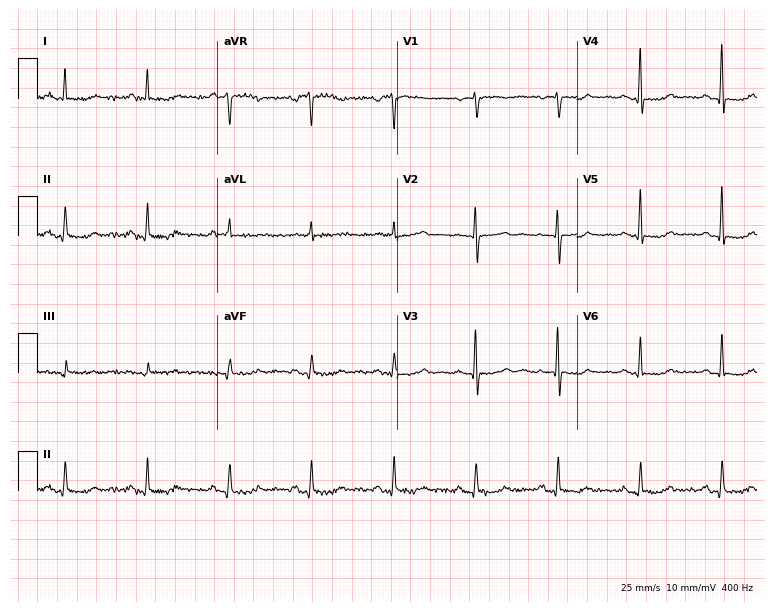
Standard 12-lead ECG recorded from a 64-year-old woman. Read as a normal ECG.